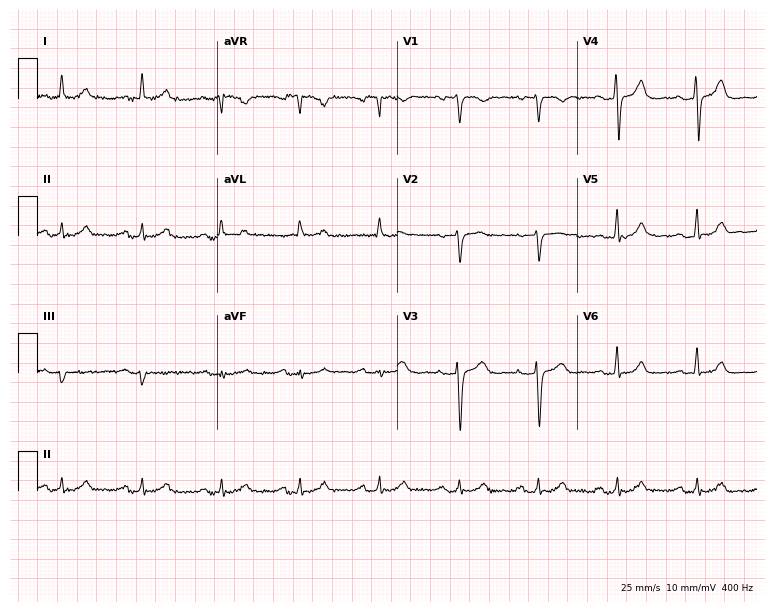
Electrocardiogram, a woman, 76 years old. Of the six screened findings (first-degree AV block, right bundle branch block, left bundle branch block, sinus bradycardia, atrial fibrillation, sinus tachycardia), none is recorded. Findings outside these six are not listed.